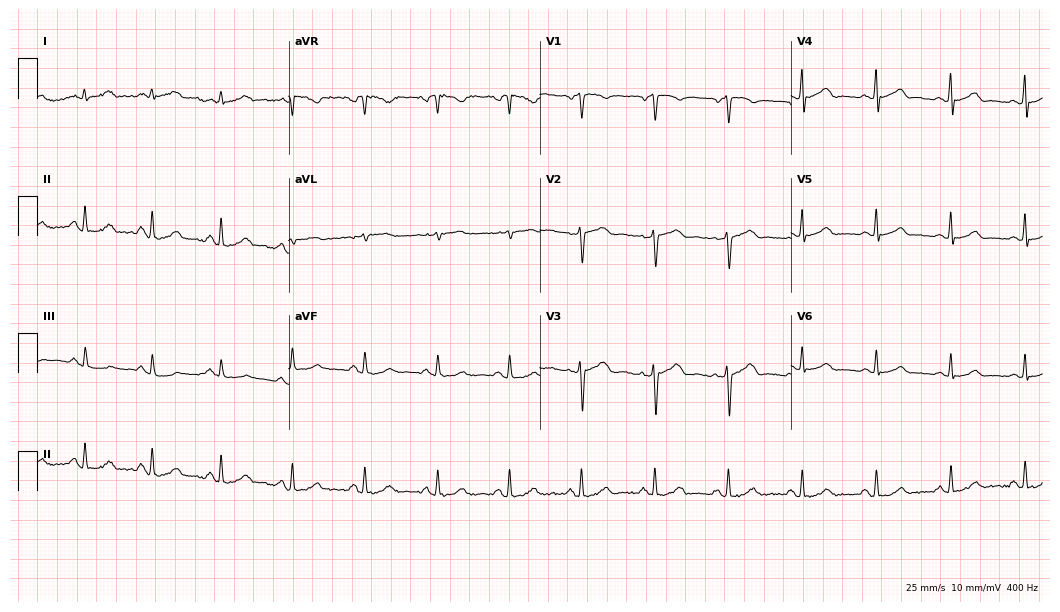
12-lead ECG (10.2-second recording at 400 Hz) from a 40-year-old female patient. Screened for six findings — first-degree AV block, right bundle branch block, left bundle branch block, sinus bradycardia, atrial fibrillation, sinus tachycardia — none is recorded.